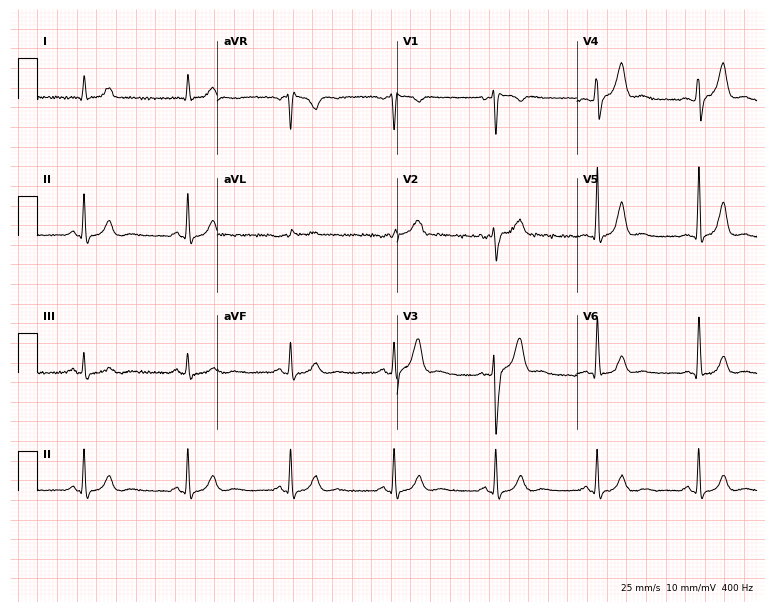
12-lead ECG from a male patient, 60 years old. Screened for six findings — first-degree AV block, right bundle branch block, left bundle branch block, sinus bradycardia, atrial fibrillation, sinus tachycardia — none is recorded. Other findings, if any, are not listed.